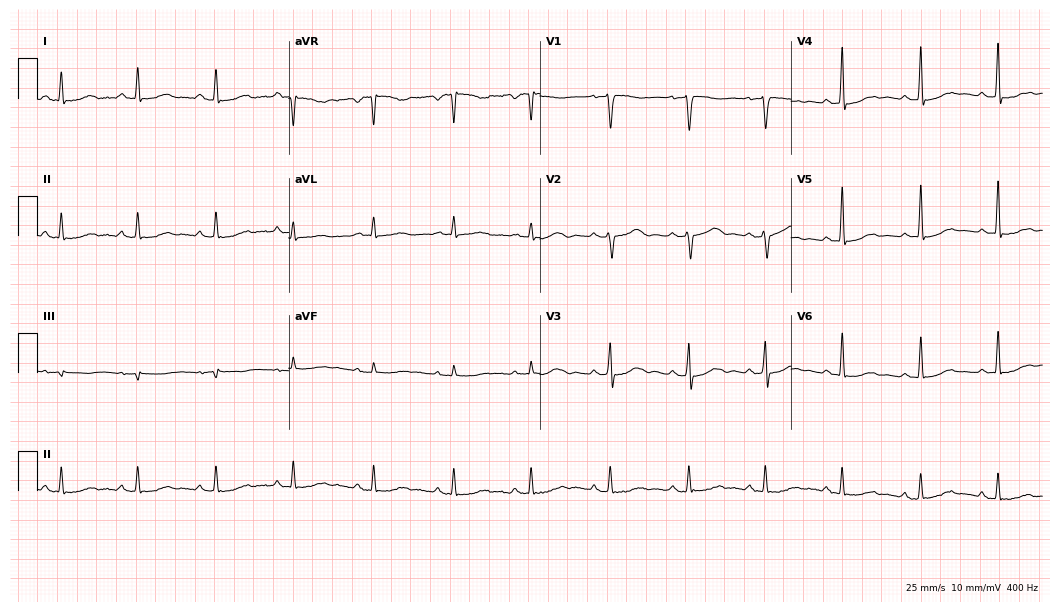
ECG (10.2-second recording at 400 Hz) — a female, 51 years old. Screened for six findings — first-degree AV block, right bundle branch block, left bundle branch block, sinus bradycardia, atrial fibrillation, sinus tachycardia — none is recorded.